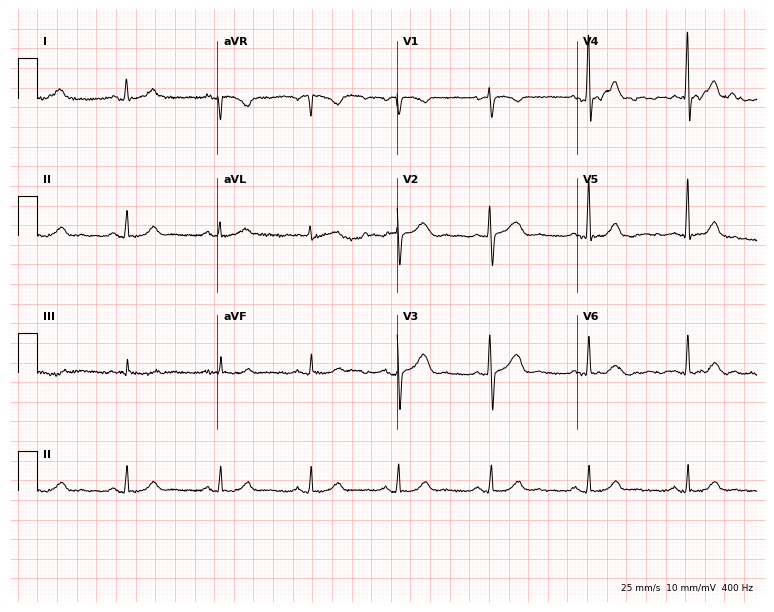
12-lead ECG from a 34-year-old female. Recorded interpretation: within normal limits.